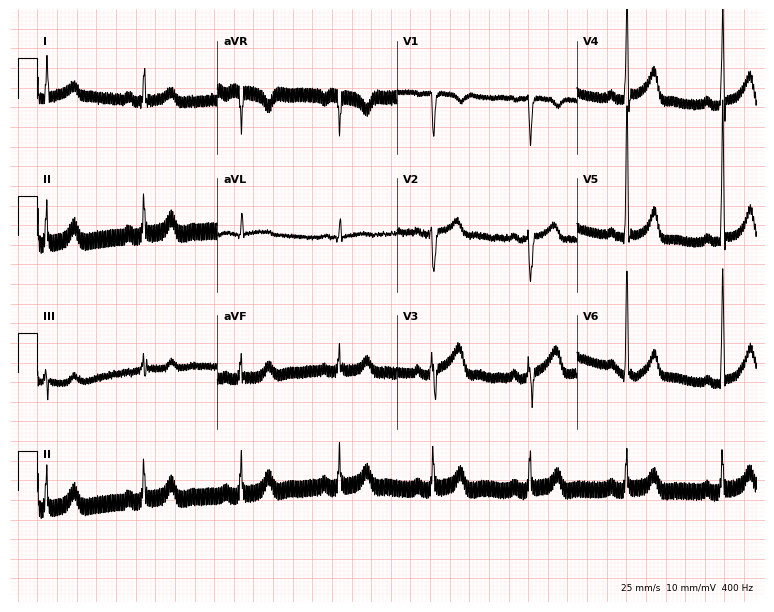
Standard 12-lead ECG recorded from a 35-year-old male patient (7.3-second recording at 400 Hz). None of these six findings is recorded: first-degree AV block, right bundle branch block, left bundle branch block, sinus bradycardia, atrial fibrillation, sinus tachycardia. Only these six findings were labelled.